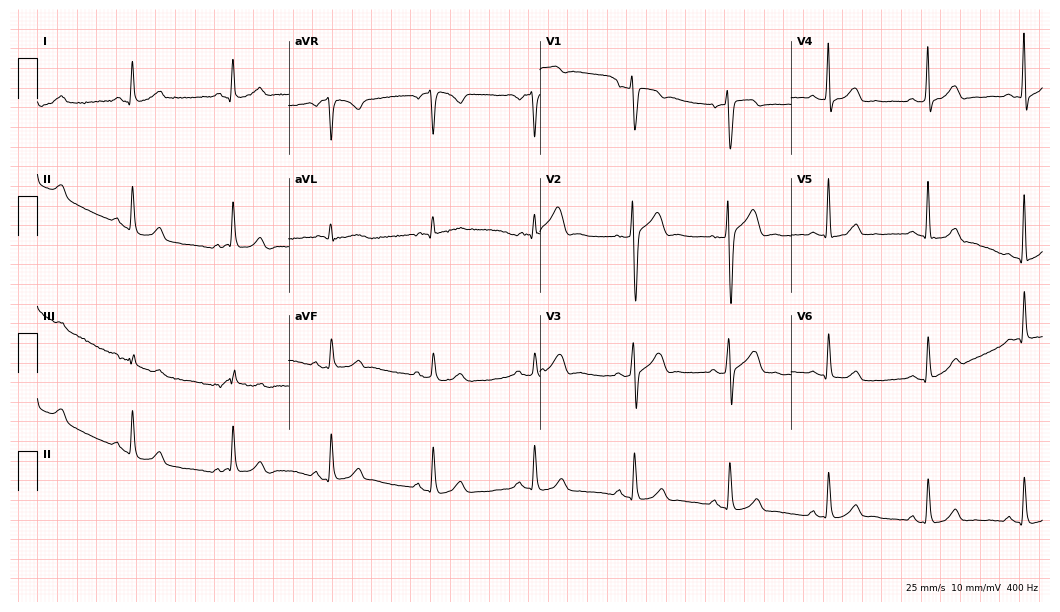
12-lead ECG (10.2-second recording at 400 Hz) from a 49-year-old male patient. Screened for six findings — first-degree AV block, right bundle branch block, left bundle branch block, sinus bradycardia, atrial fibrillation, sinus tachycardia — none is recorded. Only these six findings were labelled.